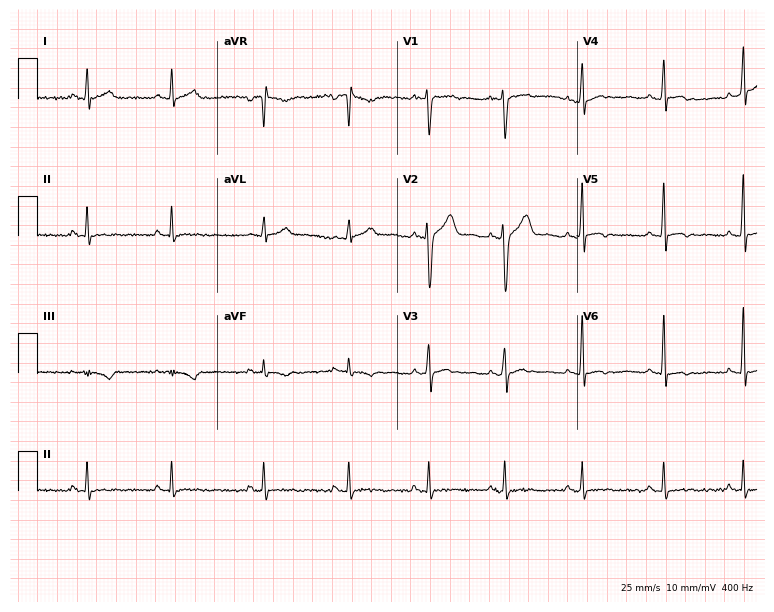
ECG — a 33-year-old male patient. Screened for six findings — first-degree AV block, right bundle branch block, left bundle branch block, sinus bradycardia, atrial fibrillation, sinus tachycardia — none is recorded.